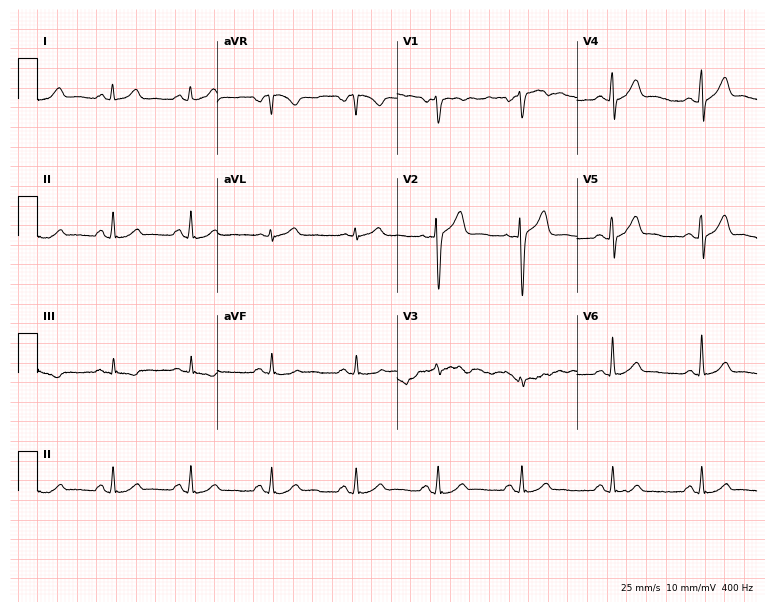
12-lead ECG (7.3-second recording at 400 Hz) from a male patient, 28 years old. Screened for six findings — first-degree AV block, right bundle branch block, left bundle branch block, sinus bradycardia, atrial fibrillation, sinus tachycardia — none is recorded. Other findings, if any, are not listed.